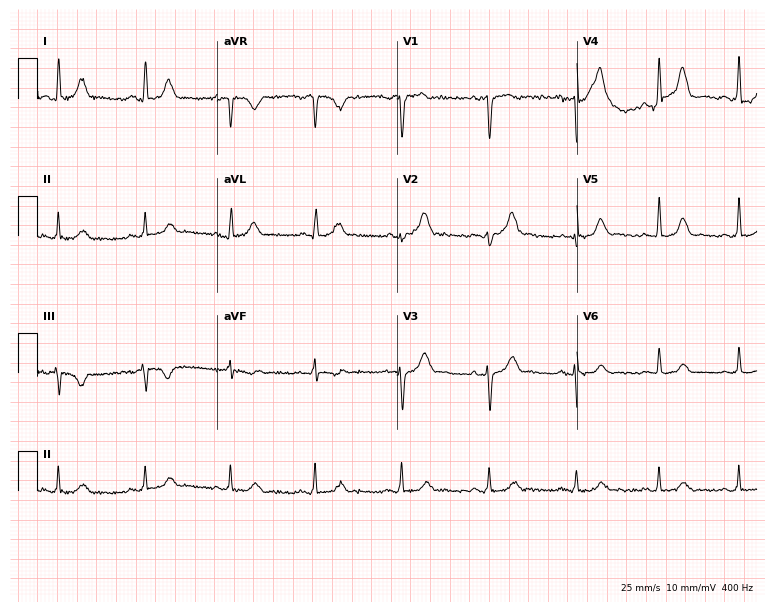
Resting 12-lead electrocardiogram (7.3-second recording at 400 Hz). Patient: a female, 42 years old. Read as a normal ECG.